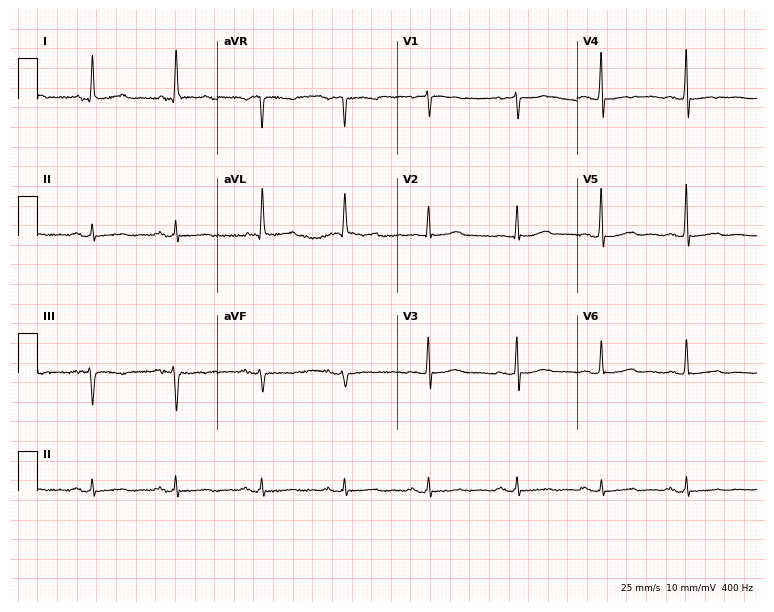
12-lead ECG (7.3-second recording at 400 Hz) from a woman, 70 years old. Screened for six findings — first-degree AV block, right bundle branch block, left bundle branch block, sinus bradycardia, atrial fibrillation, sinus tachycardia — none is recorded.